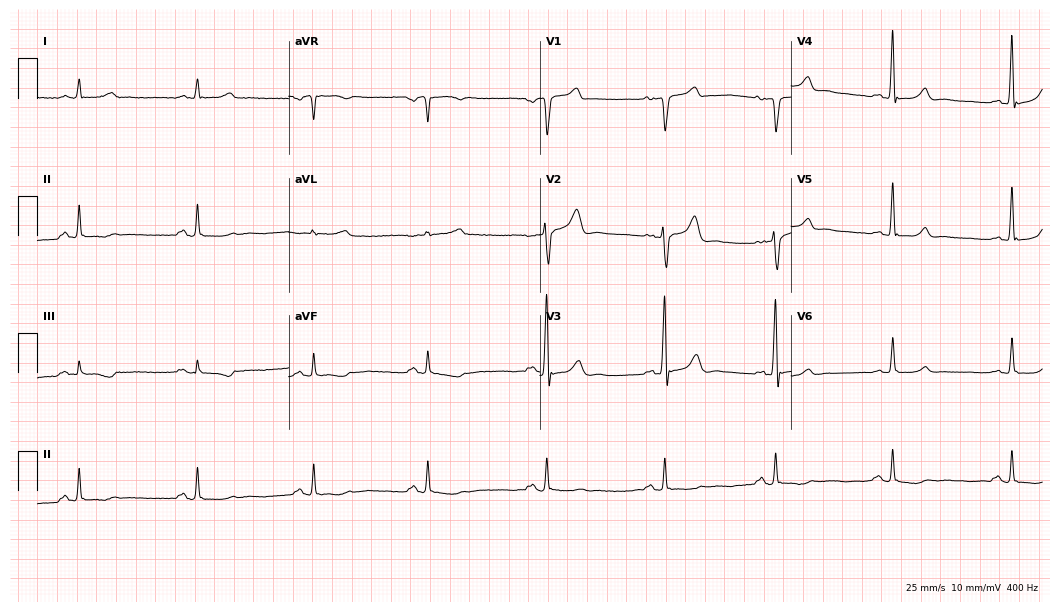
ECG — a male, 55 years old. Screened for six findings — first-degree AV block, right bundle branch block, left bundle branch block, sinus bradycardia, atrial fibrillation, sinus tachycardia — none is recorded.